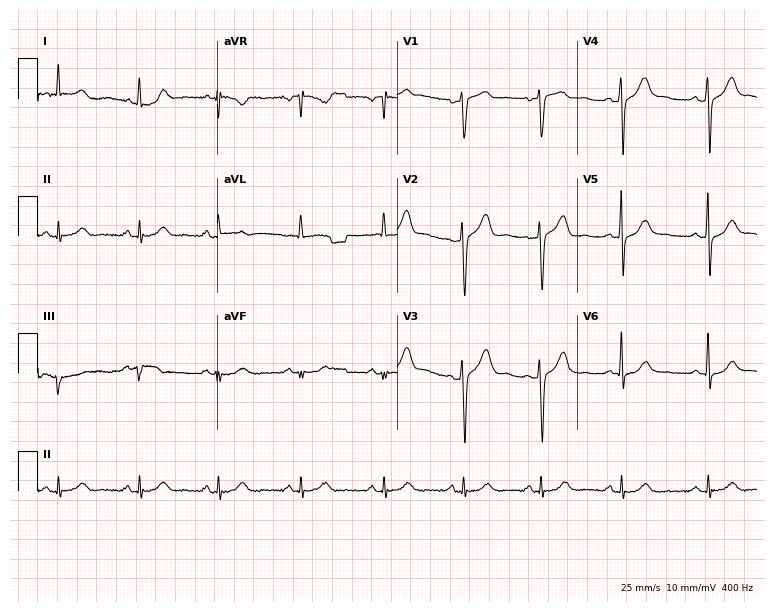
Standard 12-lead ECG recorded from a male, 49 years old (7.3-second recording at 400 Hz). Read as a normal ECG.